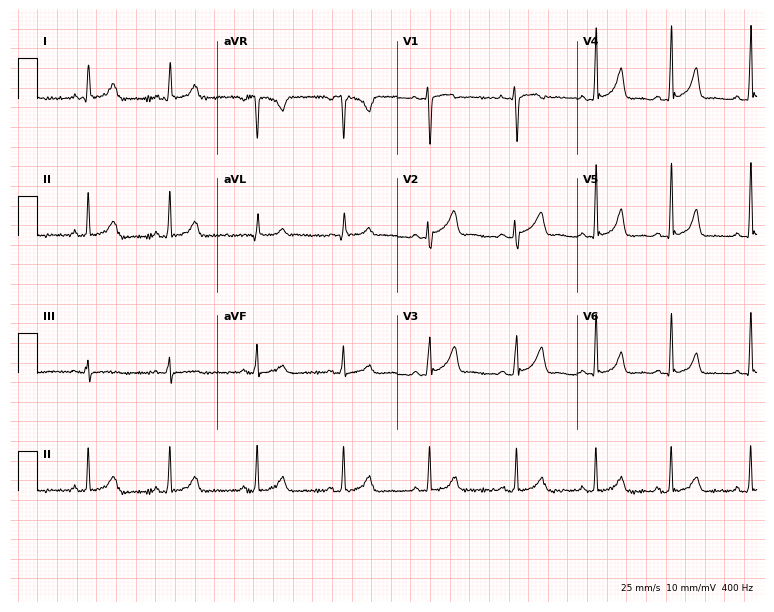
Standard 12-lead ECG recorded from a female, 32 years old (7.3-second recording at 400 Hz). None of these six findings is recorded: first-degree AV block, right bundle branch block (RBBB), left bundle branch block (LBBB), sinus bradycardia, atrial fibrillation (AF), sinus tachycardia.